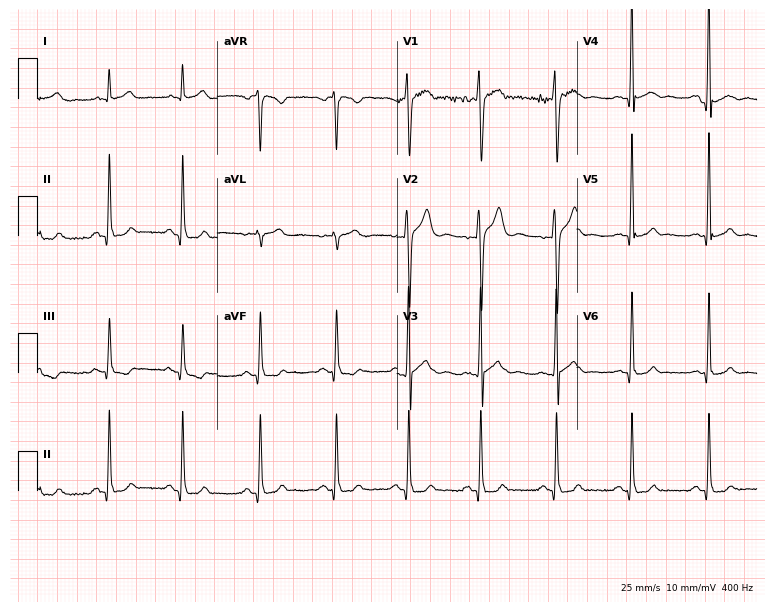
Electrocardiogram (7.3-second recording at 400 Hz), an 18-year-old male. Overall reading on record: normal ECG.